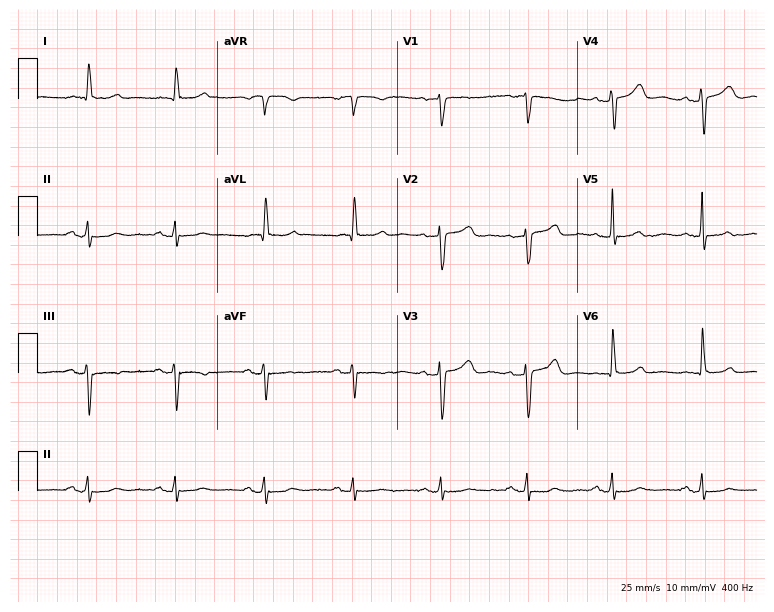
Resting 12-lead electrocardiogram (7.3-second recording at 400 Hz). Patient: a female, 78 years old. None of these six findings is recorded: first-degree AV block, right bundle branch block, left bundle branch block, sinus bradycardia, atrial fibrillation, sinus tachycardia.